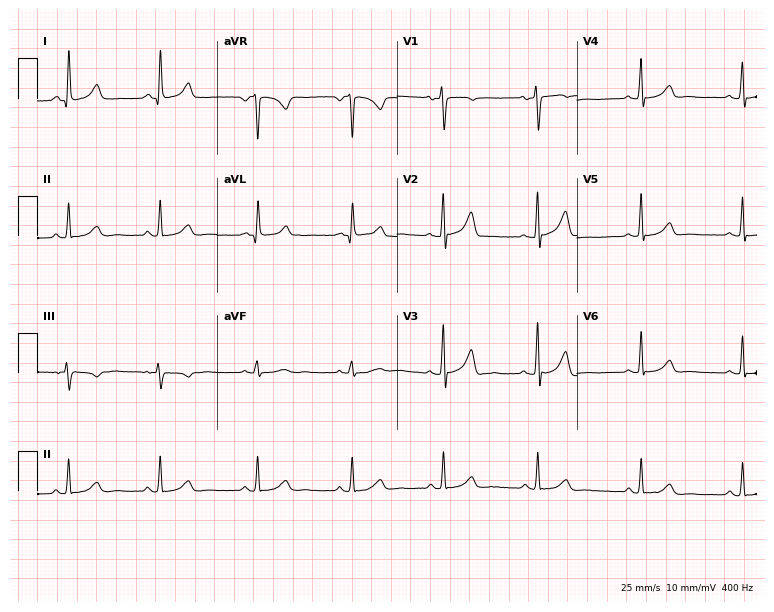
12-lead ECG from a 39-year-old woman (7.3-second recording at 400 Hz). No first-degree AV block, right bundle branch block (RBBB), left bundle branch block (LBBB), sinus bradycardia, atrial fibrillation (AF) or sinus tachycardia recorded for this tracing. Findings outside these six are not listed.